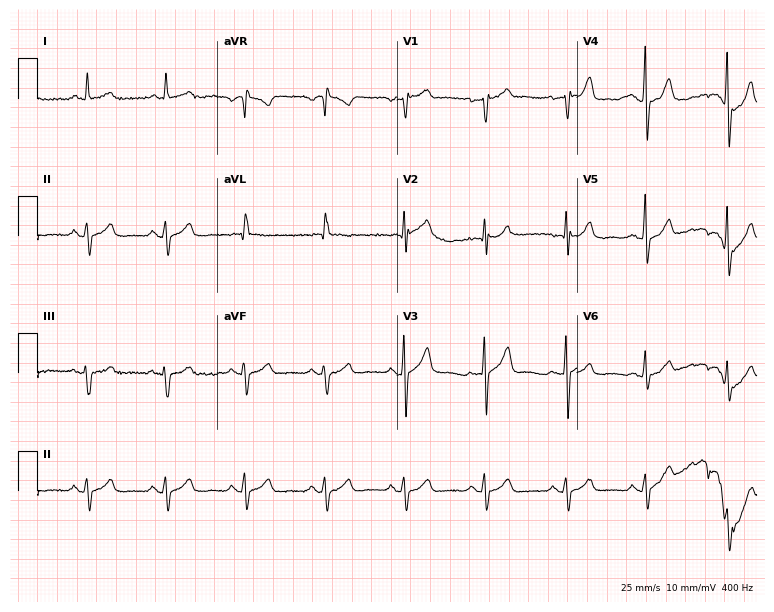
ECG (7.3-second recording at 400 Hz) — a 74-year-old male. Labelled as a normal ECG.